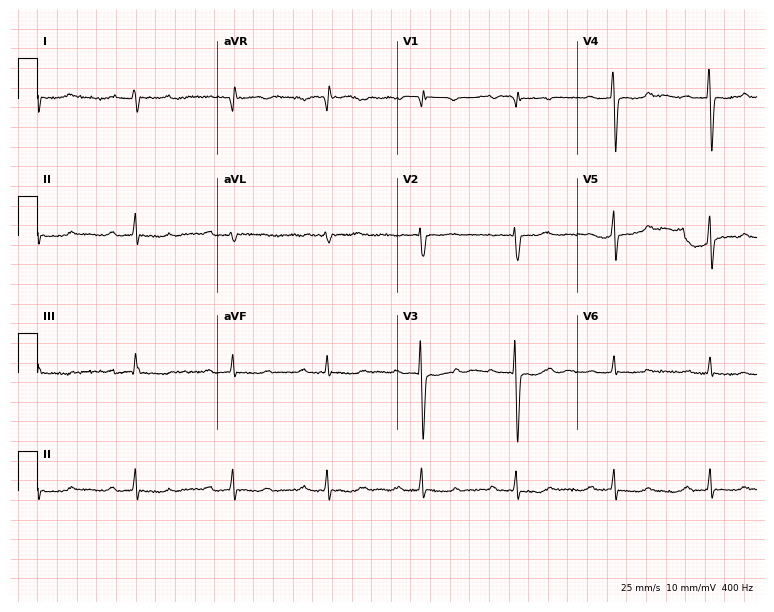
Resting 12-lead electrocardiogram (7.3-second recording at 400 Hz). Patient: a female, 75 years old. The tracing shows first-degree AV block.